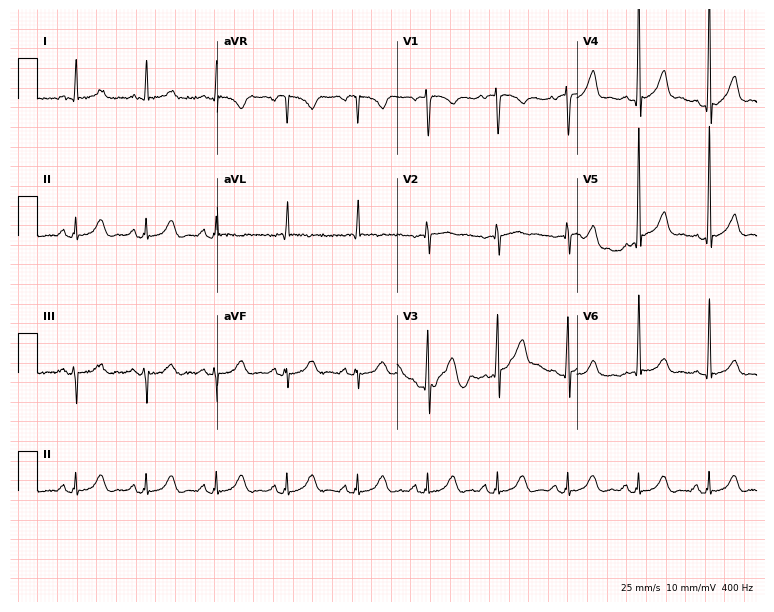
Electrocardiogram, a male patient, 83 years old. Overall reading on record: normal ECG.